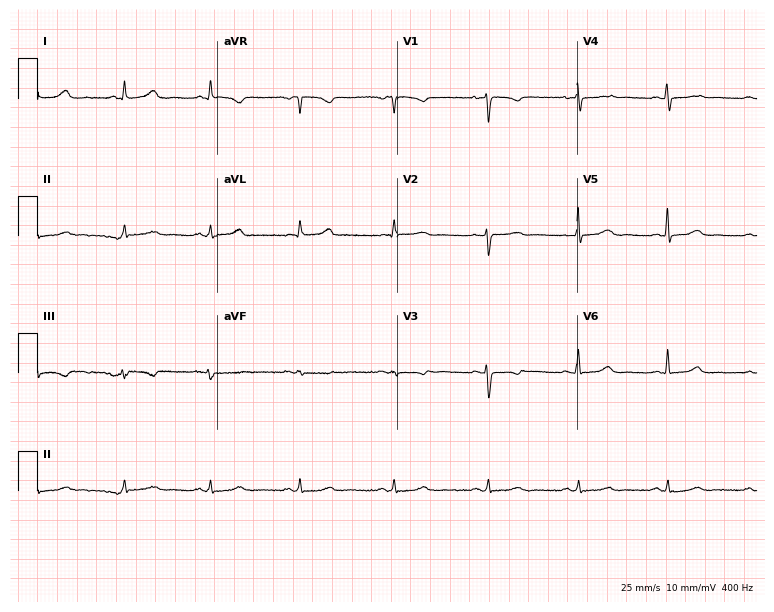
12-lead ECG from a female, 43 years old. No first-degree AV block, right bundle branch block, left bundle branch block, sinus bradycardia, atrial fibrillation or sinus tachycardia recorded for this tracing.